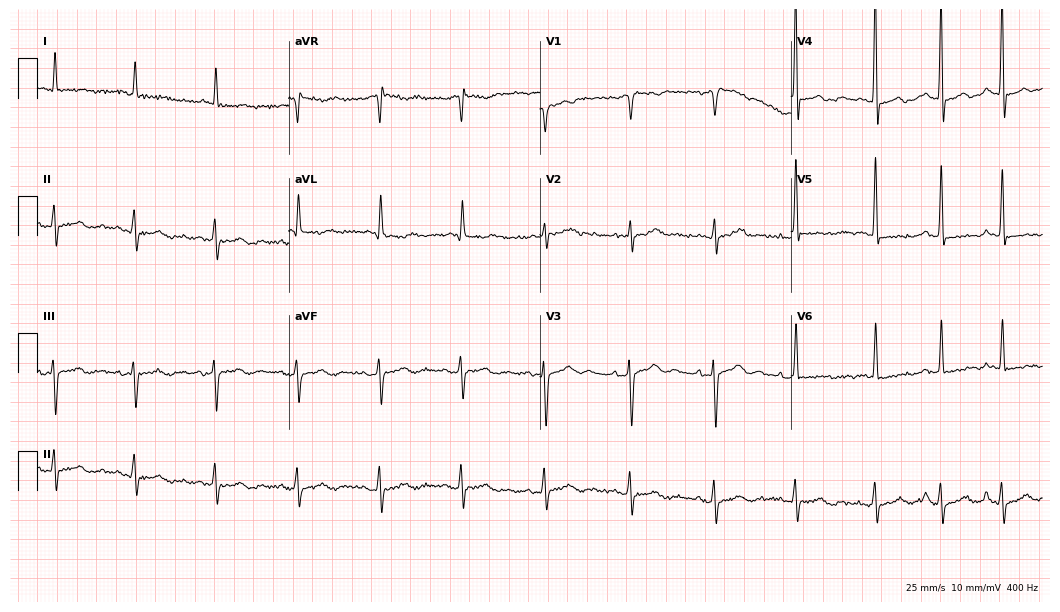
12-lead ECG from a woman, 71 years old (10.2-second recording at 400 Hz). No first-degree AV block, right bundle branch block, left bundle branch block, sinus bradycardia, atrial fibrillation or sinus tachycardia recorded for this tracing. Only these six findings were labelled.